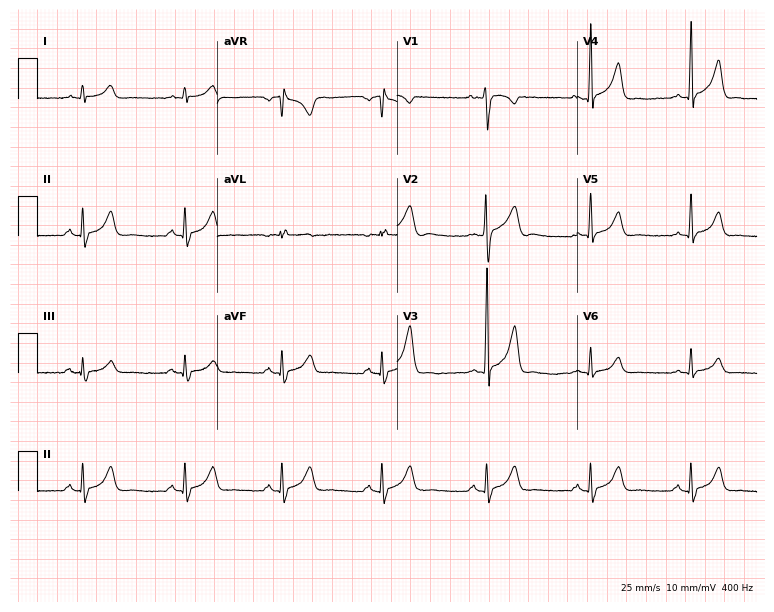
12-lead ECG from a male, 30 years old (7.3-second recording at 400 Hz). No first-degree AV block, right bundle branch block (RBBB), left bundle branch block (LBBB), sinus bradycardia, atrial fibrillation (AF) or sinus tachycardia recorded for this tracing. Findings outside these six are not listed.